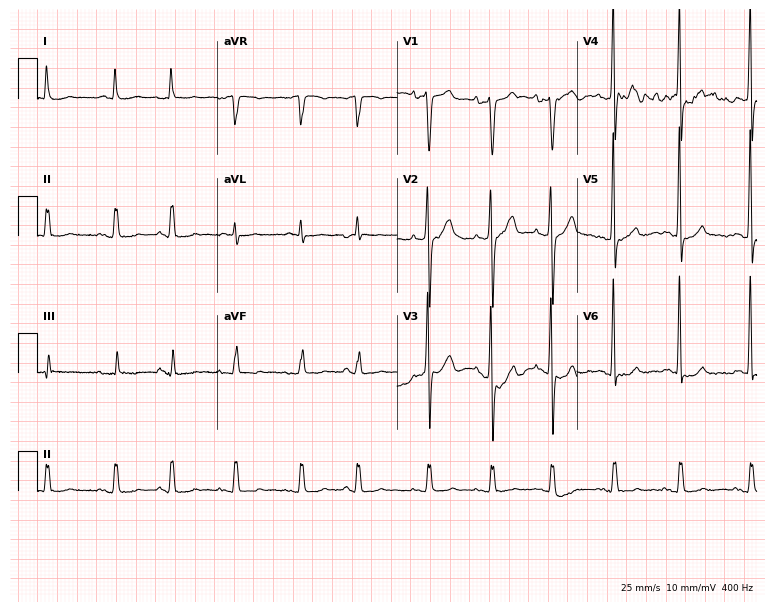
Standard 12-lead ECG recorded from a 75-year-old man. None of these six findings is recorded: first-degree AV block, right bundle branch block (RBBB), left bundle branch block (LBBB), sinus bradycardia, atrial fibrillation (AF), sinus tachycardia.